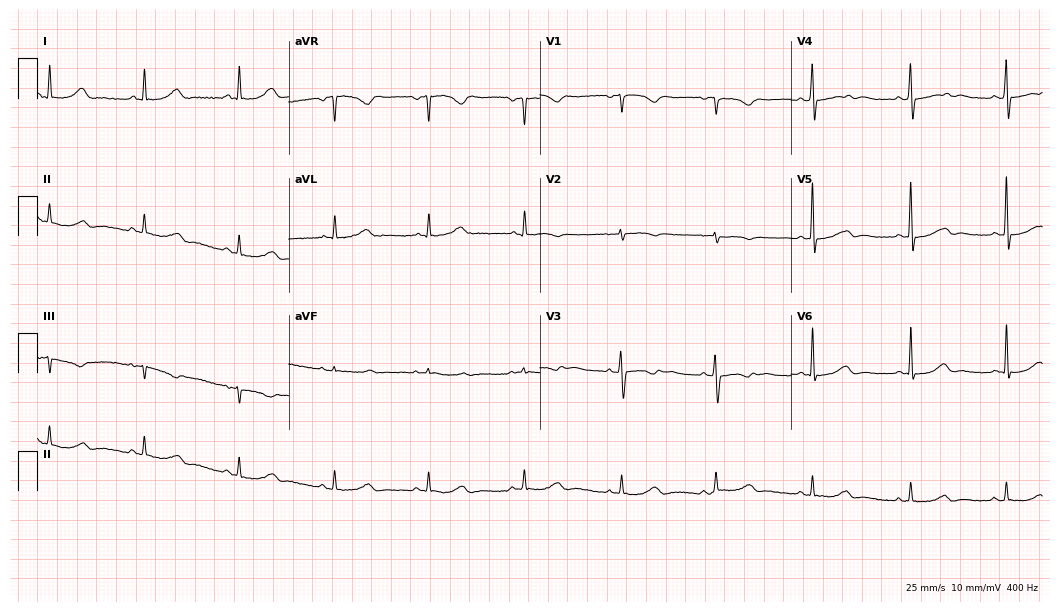
ECG (10.2-second recording at 400 Hz) — a female patient, 54 years old. Screened for six findings — first-degree AV block, right bundle branch block, left bundle branch block, sinus bradycardia, atrial fibrillation, sinus tachycardia — none is recorded. Other findings, if any, are not listed.